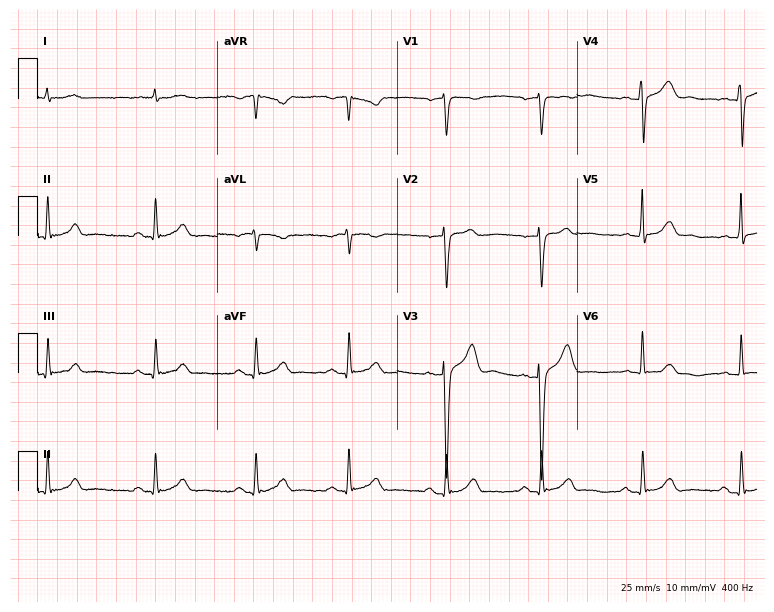
12-lead ECG (7.3-second recording at 400 Hz) from a man, 48 years old. Labelled as a normal ECG.